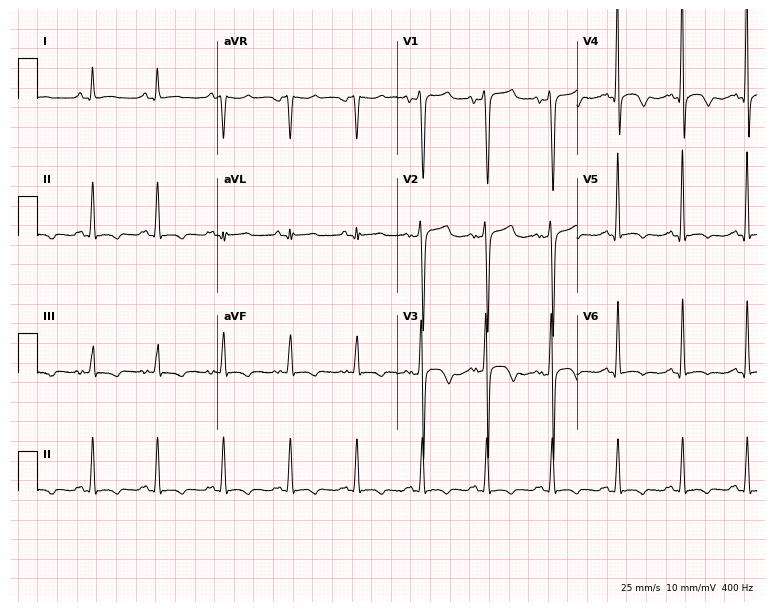
Resting 12-lead electrocardiogram (7.3-second recording at 400 Hz). Patient: a man, 42 years old. None of these six findings is recorded: first-degree AV block, right bundle branch block, left bundle branch block, sinus bradycardia, atrial fibrillation, sinus tachycardia.